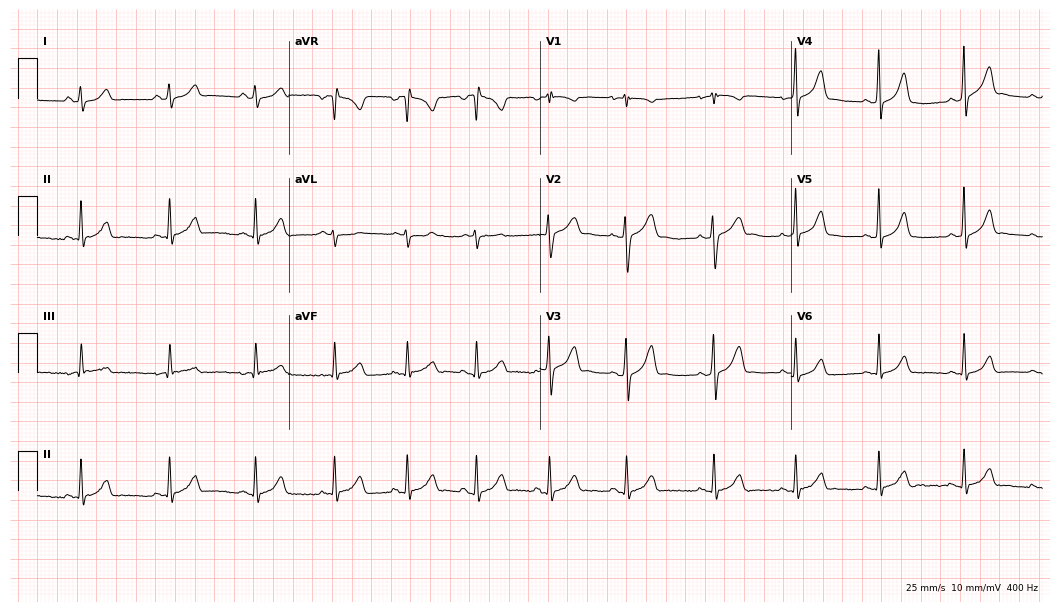
Resting 12-lead electrocardiogram. Patient: a woman, 19 years old. None of these six findings is recorded: first-degree AV block, right bundle branch block, left bundle branch block, sinus bradycardia, atrial fibrillation, sinus tachycardia. Other findings, if any, are not listed.